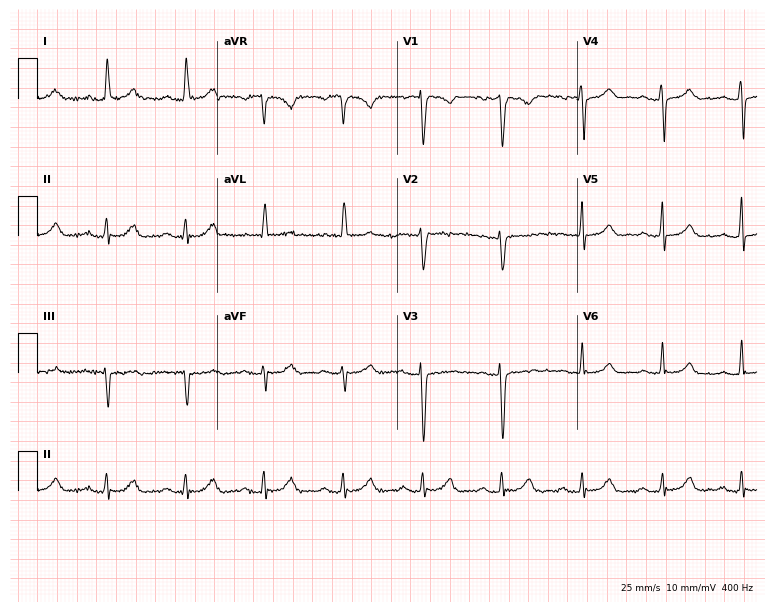
Standard 12-lead ECG recorded from a female patient, 56 years old. Read as a normal ECG.